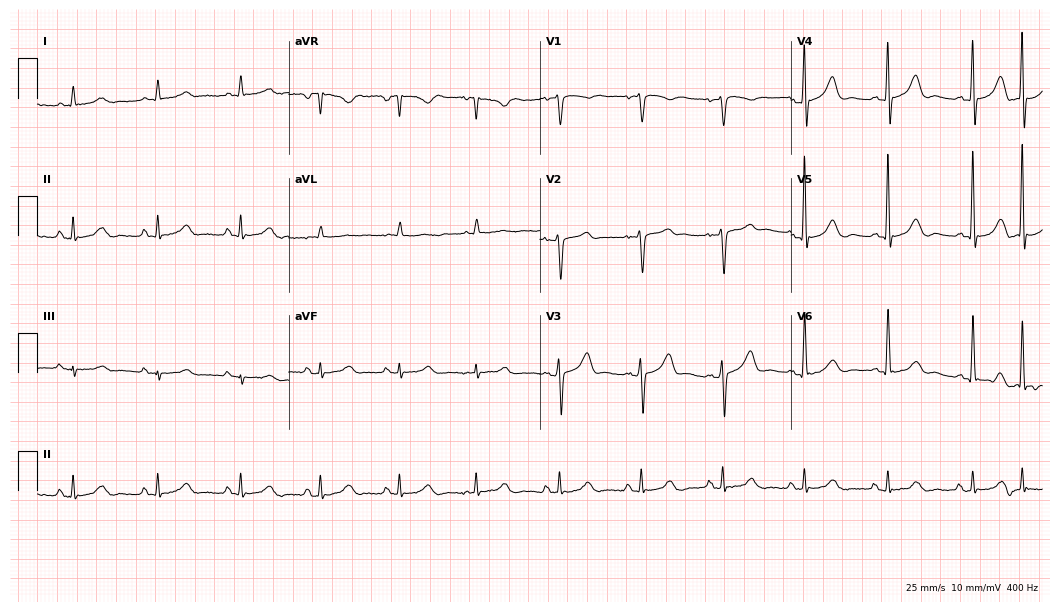
Standard 12-lead ECG recorded from a male patient, 78 years old. None of these six findings is recorded: first-degree AV block, right bundle branch block, left bundle branch block, sinus bradycardia, atrial fibrillation, sinus tachycardia.